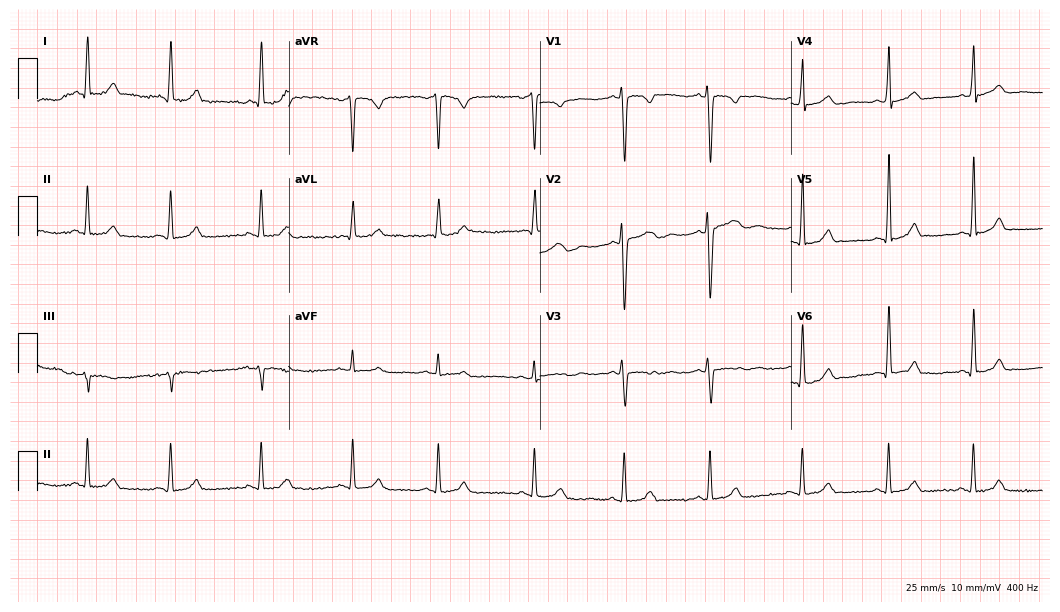
Resting 12-lead electrocardiogram (10.2-second recording at 400 Hz). Patient: a male, 28 years old. None of these six findings is recorded: first-degree AV block, right bundle branch block, left bundle branch block, sinus bradycardia, atrial fibrillation, sinus tachycardia. Findings outside these six are not listed.